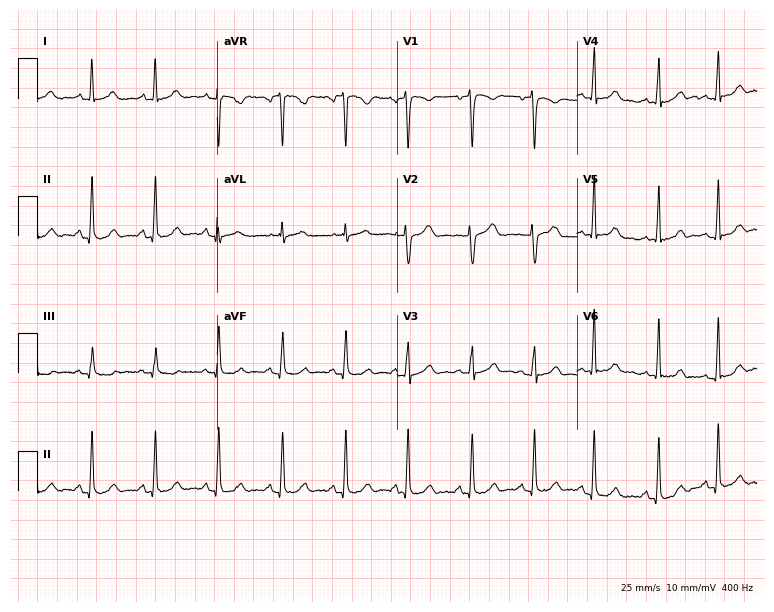
ECG (7.3-second recording at 400 Hz) — a female patient, 34 years old. Labelled as a normal ECG.